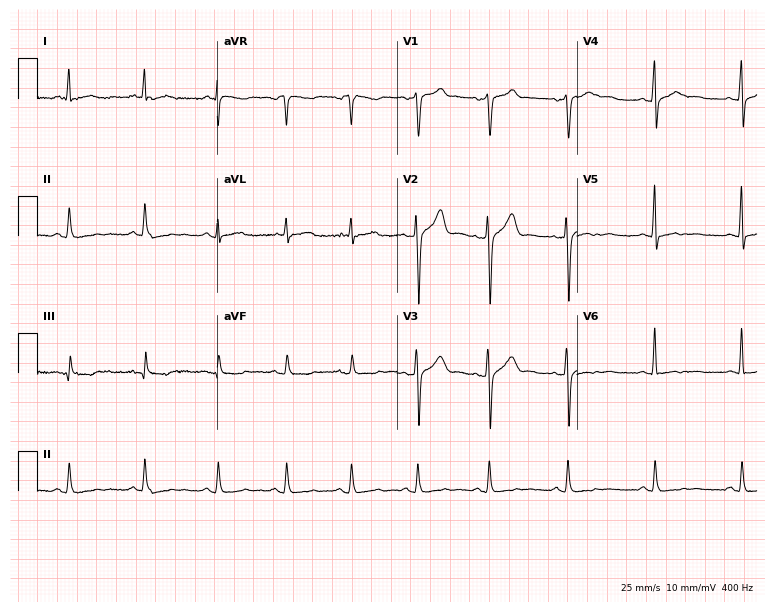
Electrocardiogram (7.3-second recording at 400 Hz), a male, 43 years old. Overall reading on record: normal ECG.